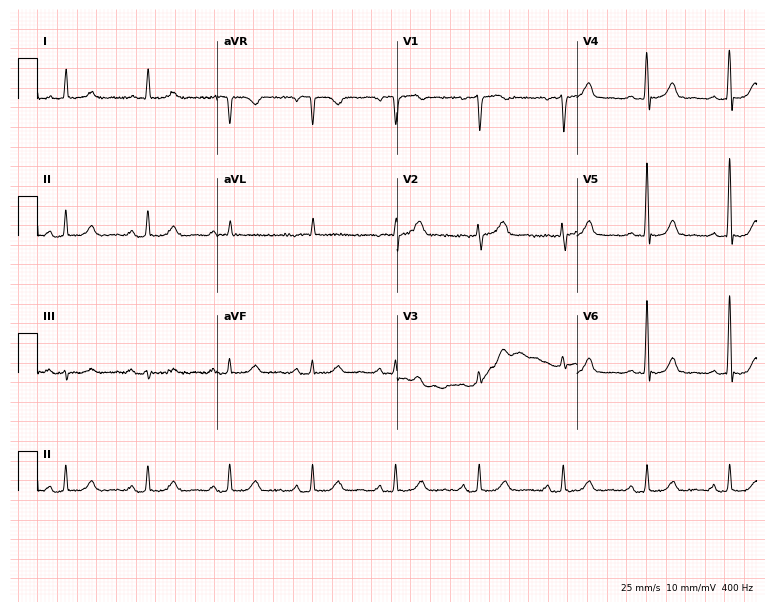
12-lead ECG (7.3-second recording at 400 Hz) from a female patient, 74 years old. Labelled as a normal ECG.